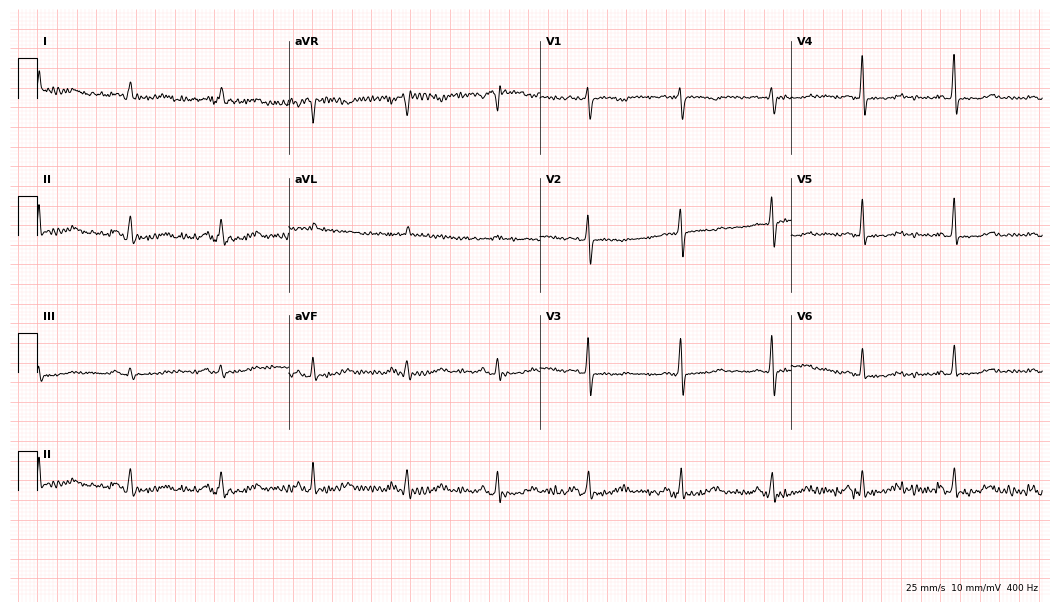
Electrocardiogram (10.2-second recording at 400 Hz), a 71-year-old woman. Overall reading on record: normal ECG.